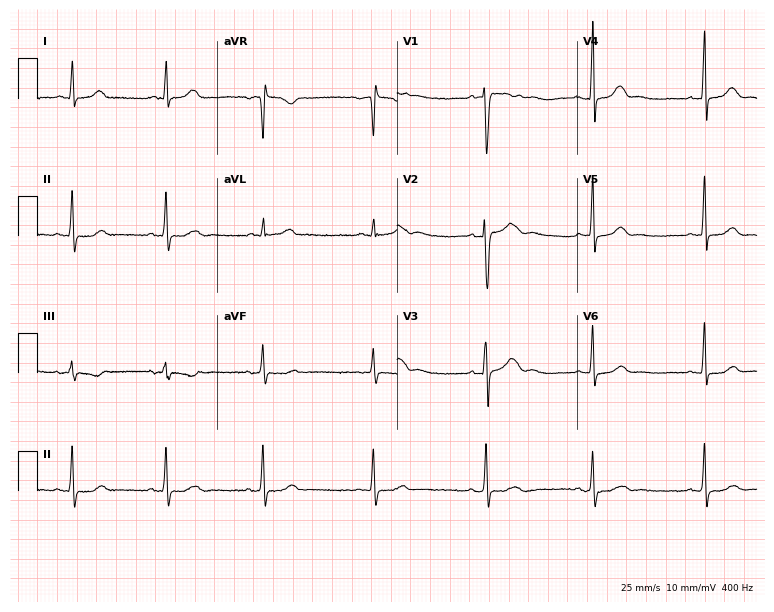
ECG (7.3-second recording at 400 Hz) — a woman, 37 years old. Labelled as a normal ECG.